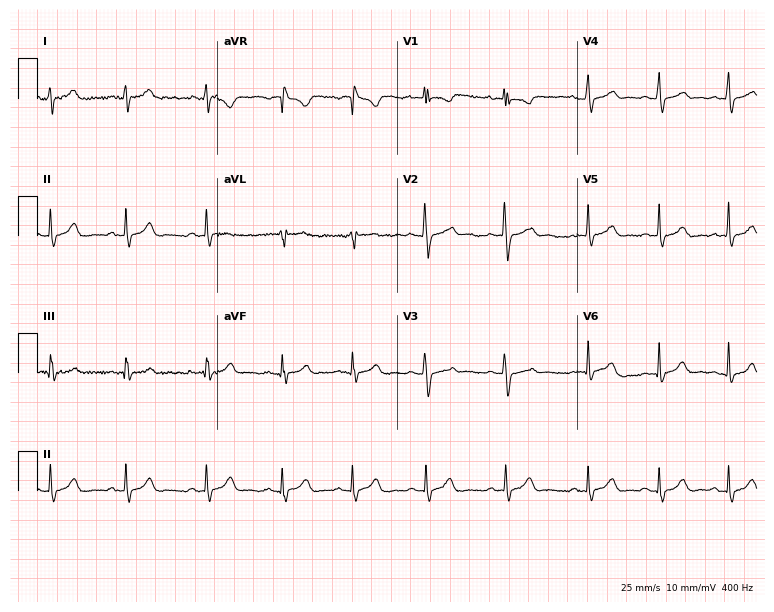
12-lead ECG (7.3-second recording at 400 Hz) from an 18-year-old female patient. Labelled as a normal ECG.